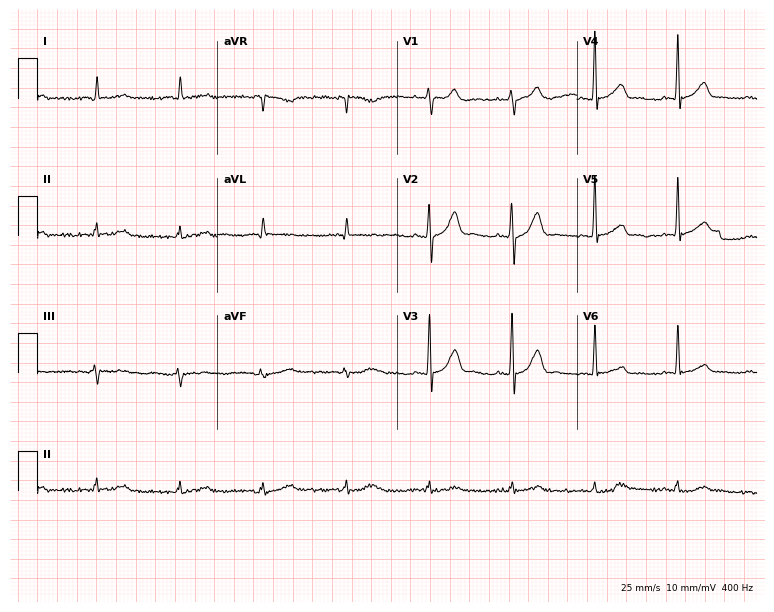
12-lead ECG from a male, 67 years old. No first-degree AV block, right bundle branch block, left bundle branch block, sinus bradycardia, atrial fibrillation or sinus tachycardia recorded for this tracing. Only these six findings were labelled.